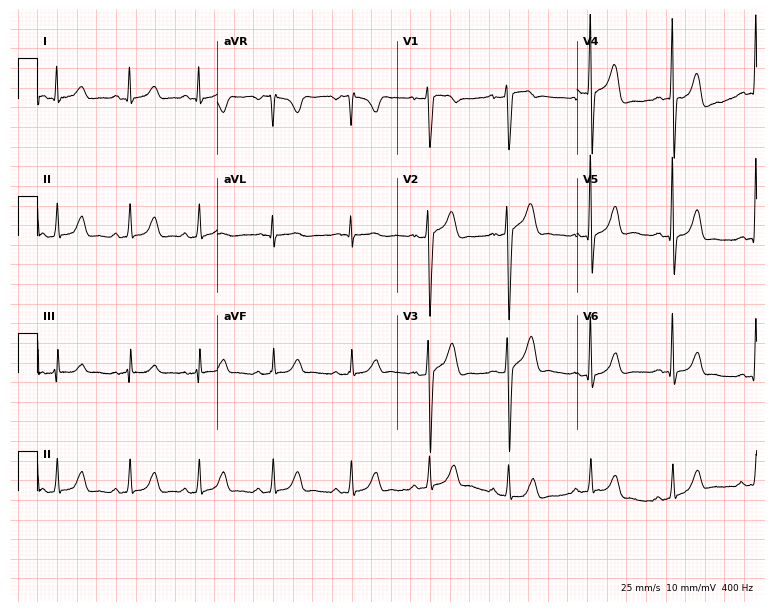
12-lead ECG from a man, 29 years old. Screened for six findings — first-degree AV block, right bundle branch block, left bundle branch block, sinus bradycardia, atrial fibrillation, sinus tachycardia — none is recorded. Only these six findings were labelled.